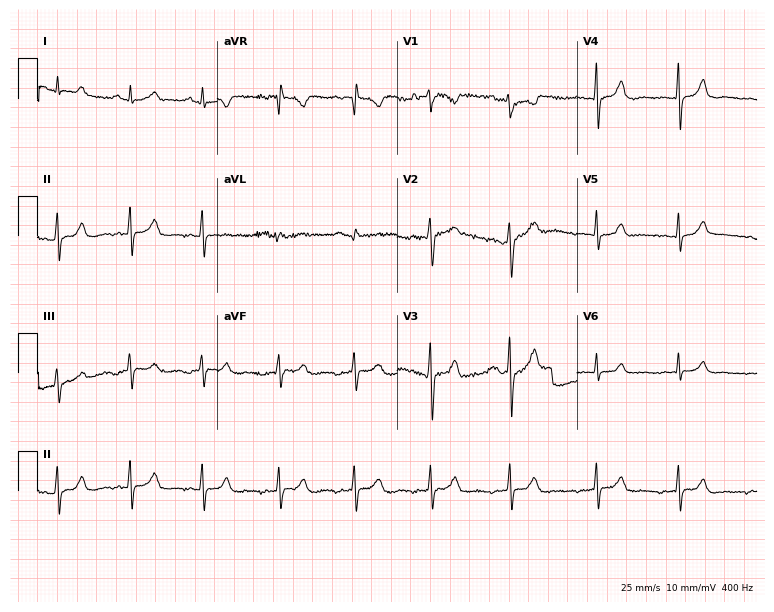
Resting 12-lead electrocardiogram (7.3-second recording at 400 Hz). Patient: a 30-year-old female. None of these six findings is recorded: first-degree AV block, right bundle branch block, left bundle branch block, sinus bradycardia, atrial fibrillation, sinus tachycardia. Only these six findings were labelled.